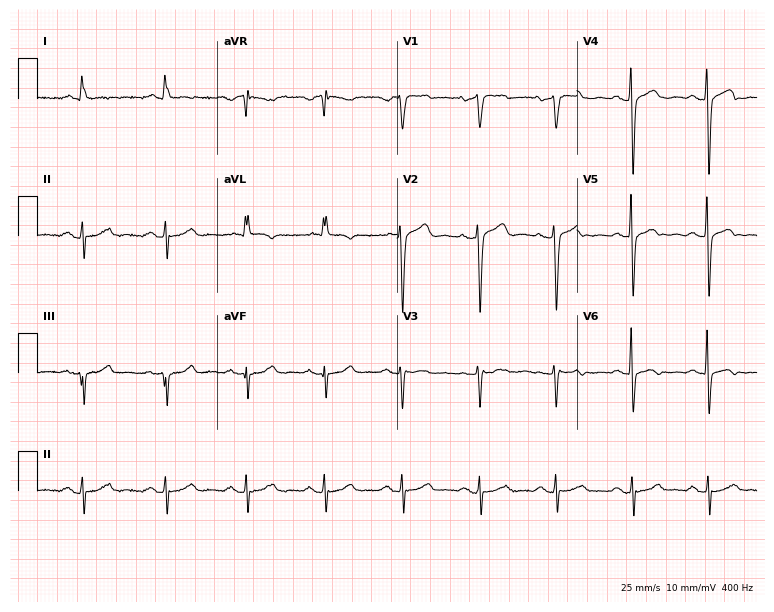
Electrocardiogram (7.3-second recording at 400 Hz), a 61-year-old man. Of the six screened findings (first-degree AV block, right bundle branch block, left bundle branch block, sinus bradycardia, atrial fibrillation, sinus tachycardia), none is recorded. Only these six findings were labelled.